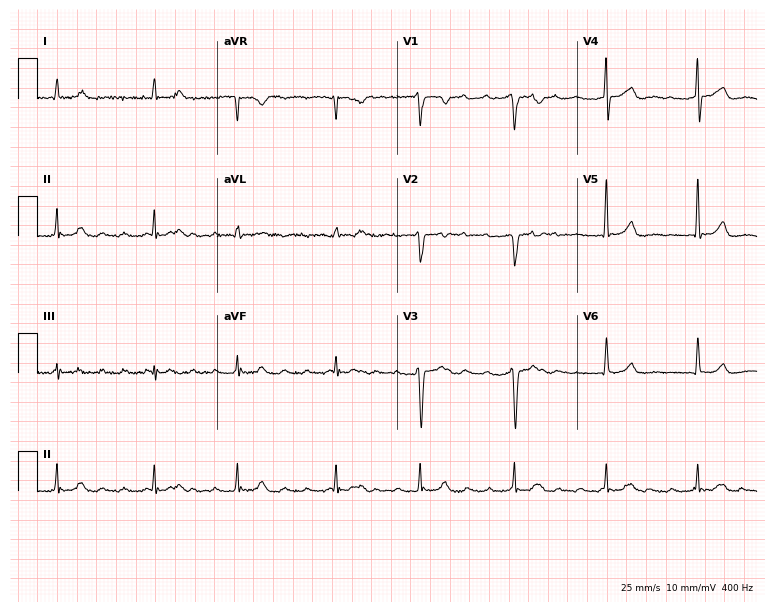
Resting 12-lead electrocardiogram (7.3-second recording at 400 Hz). Patient: an 81-year-old man. None of these six findings is recorded: first-degree AV block, right bundle branch block (RBBB), left bundle branch block (LBBB), sinus bradycardia, atrial fibrillation (AF), sinus tachycardia.